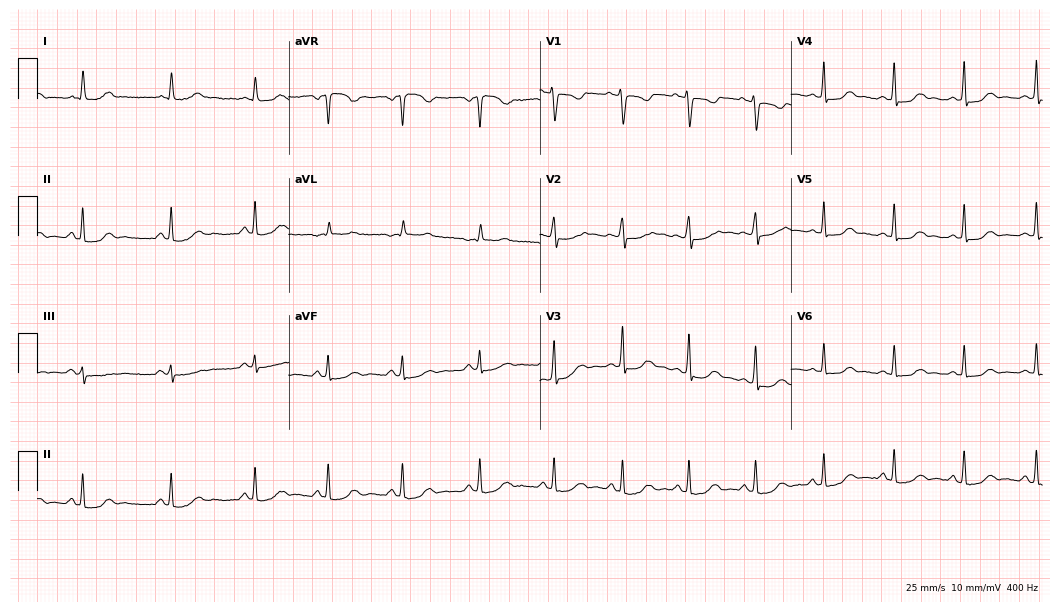
12-lead ECG from a 38-year-old female. No first-degree AV block, right bundle branch block, left bundle branch block, sinus bradycardia, atrial fibrillation or sinus tachycardia recorded for this tracing. Other findings, if any, are not listed.